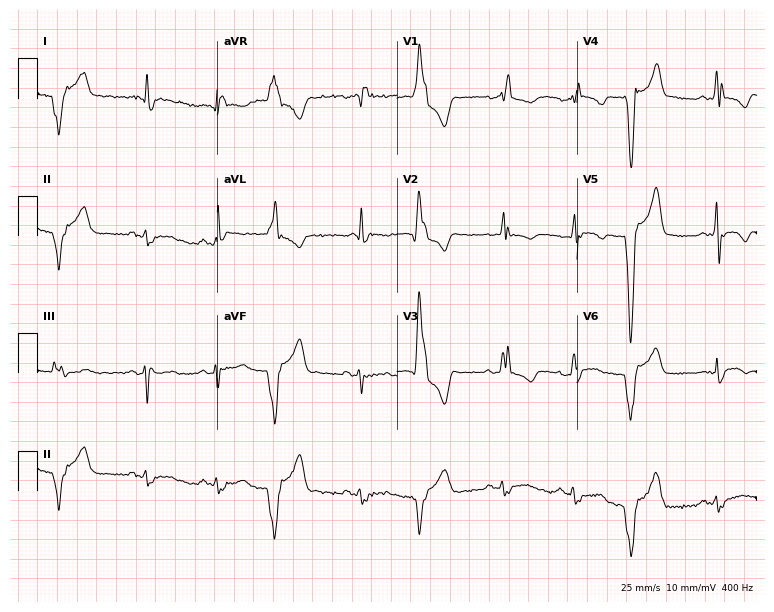
12-lead ECG from a female, 84 years old. Shows right bundle branch block (RBBB).